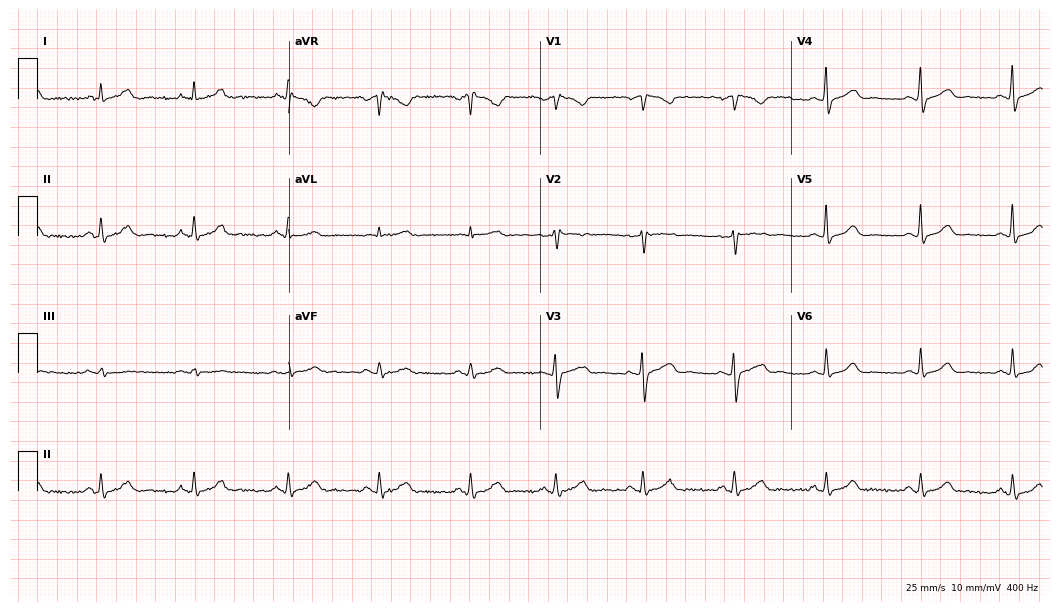
Electrocardiogram, a female patient, 29 years old. Overall reading on record: normal ECG.